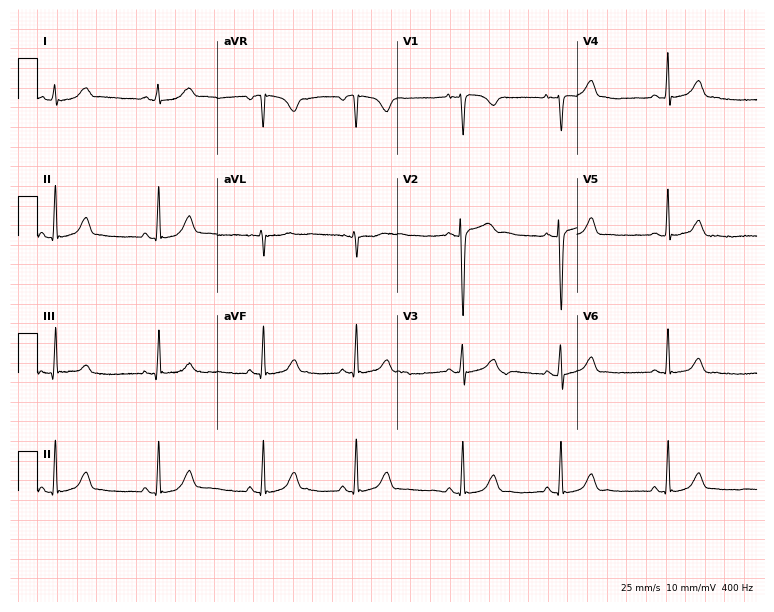
12-lead ECG from a woman, 31 years old. Recorded interpretation: within normal limits.